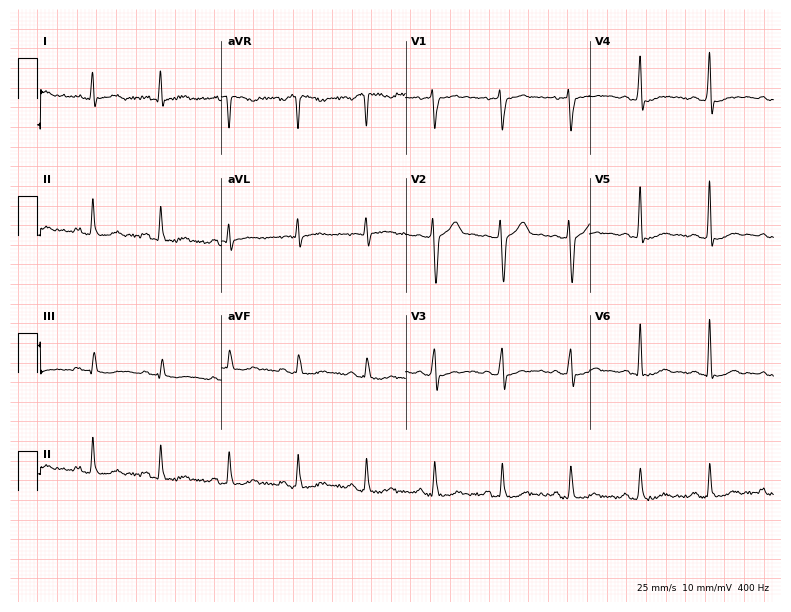
Resting 12-lead electrocardiogram (7.5-second recording at 400 Hz). Patient: a woman, 50 years old. None of these six findings is recorded: first-degree AV block, right bundle branch block, left bundle branch block, sinus bradycardia, atrial fibrillation, sinus tachycardia.